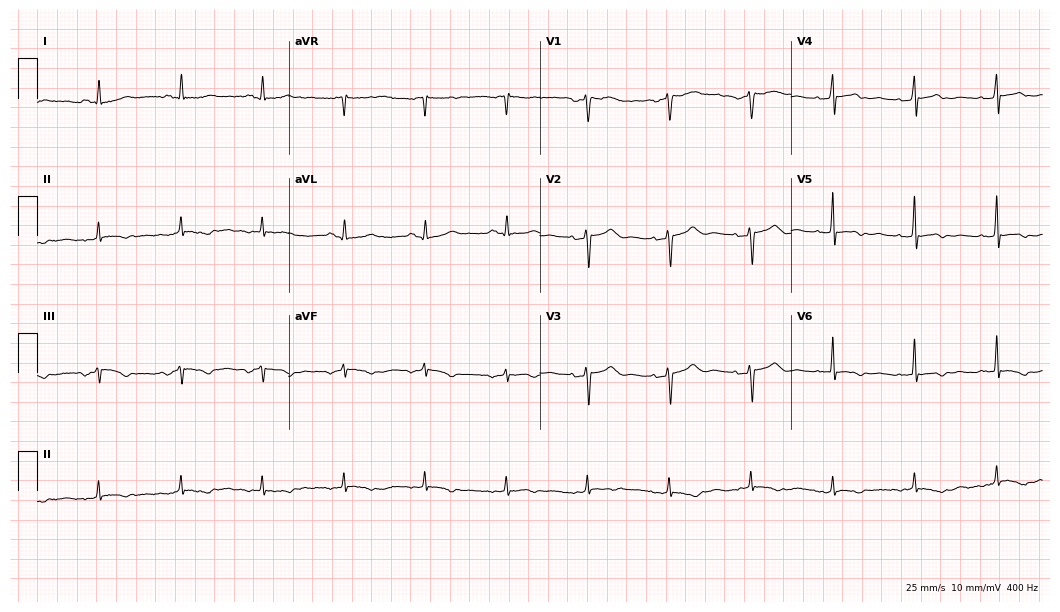
12-lead ECG from a 51-year-old woman. Screened for six findings — first-degree AV block, right bundle branch block, left bundle branch block, sinus bradycardia, atrial fibrillation, sinus tachycardia — none is recorded. Findings outside these six are not listed.